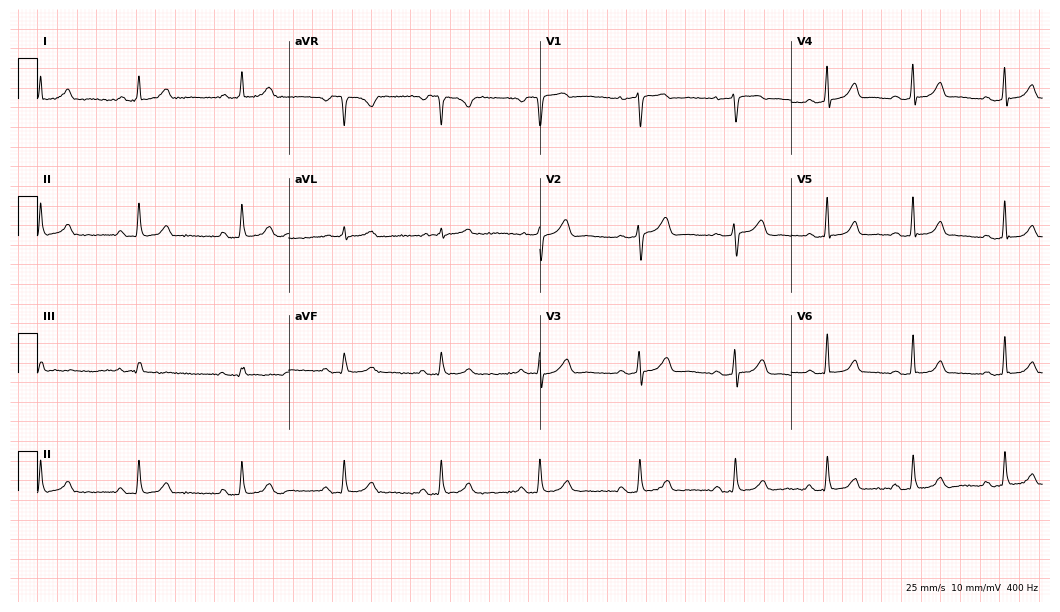
ECG — a female, 41 years old. Labelled as a normal ECG.